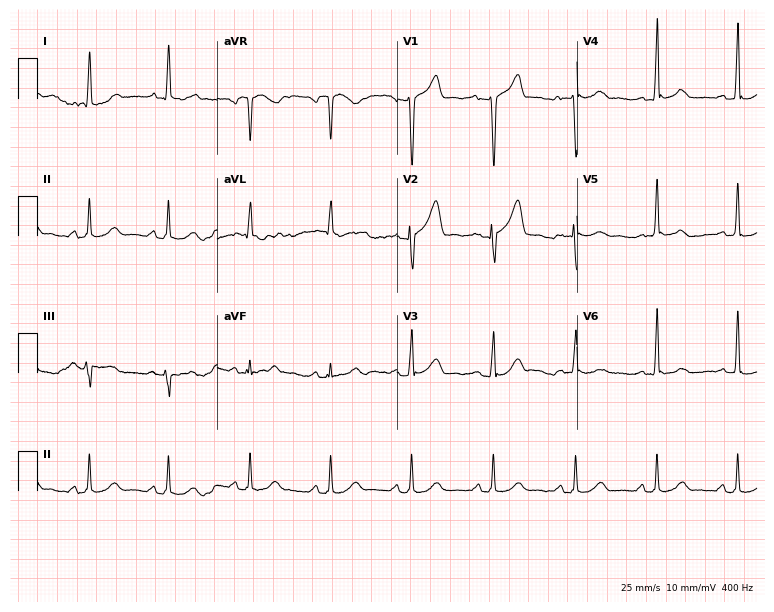
Standard 12-lead ECG recorded from a 54-year-old male patient. Read as a normal ECG.